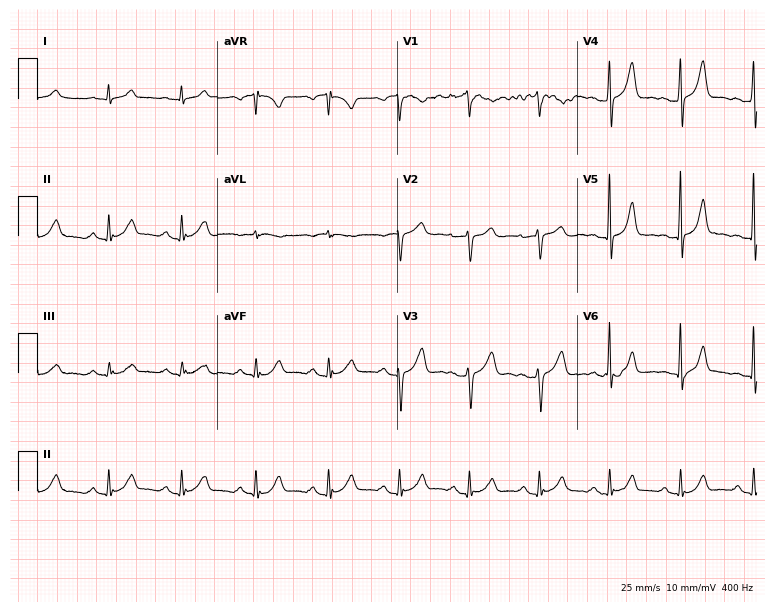
Resting 12-lead electrocardiogram (7.3-second recording at 400 Hz). Patient: a male, 65 years old. Read as a normal ECG.